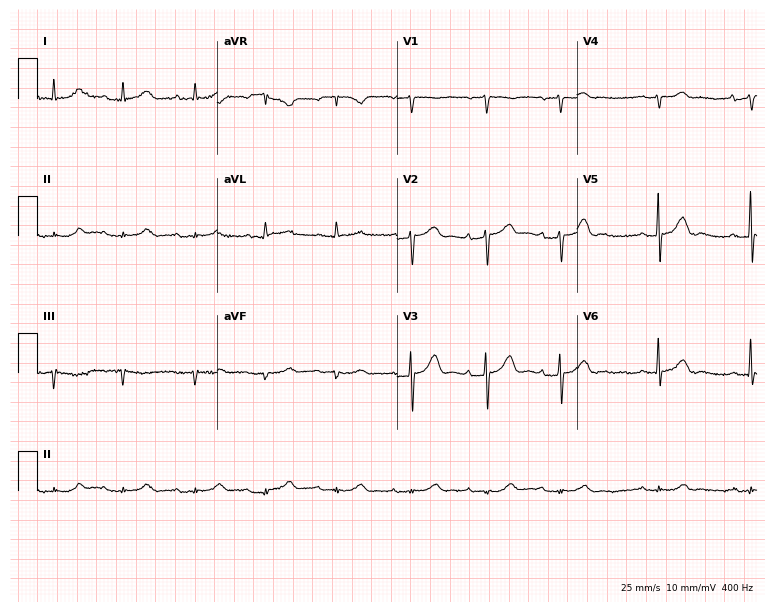
12-lead ECG (7.3-second recording at 400 Hz) from a 65-year-old male patient. Labelled as a normal ECG.